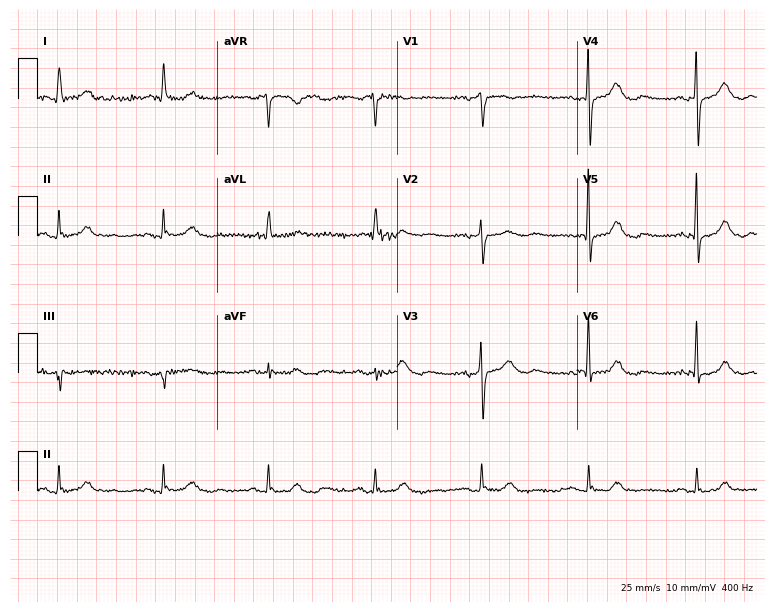
Electrocardiogram (7.3-second recording at 400 Hz), a 77-year-old woman. Of the six screened findings (first-degree AV block, right bundle branch block, left bundle branch block, sinus bradycardia, atrial fibrillation, sinus tachycardia), none is recorded.